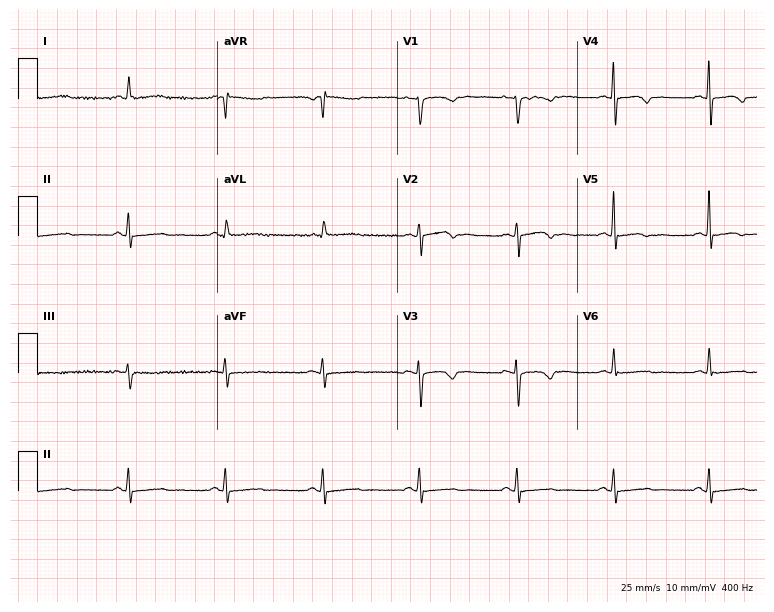
12-lead ECG from a female, 69 years old. Screened for six findings — first-degree AV block, right bundle branch block, left bundle branch block, sinus bradycardia, atrial fibrillation, sinus tachycardia — none is recorded. Findings outside these six are not listed.